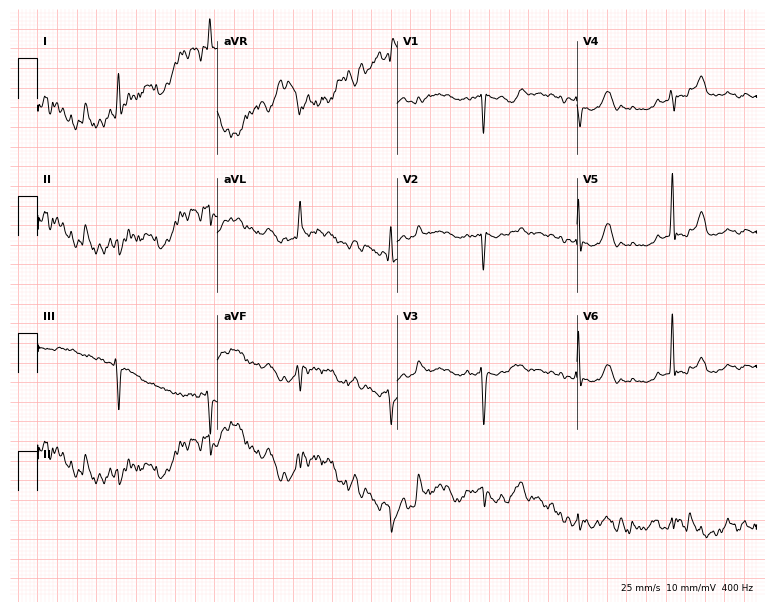
Standard 12-lead ECG recorded from a female patient, 59 years old (7.3-second recording at 400 Hz). None of these six findings is recorded: first-degree AV block, right bundle branch block, left bundle branch block, sinus bradycardia, atrial fibrillation, sinus tachycardia. Only these six findings were labelled.